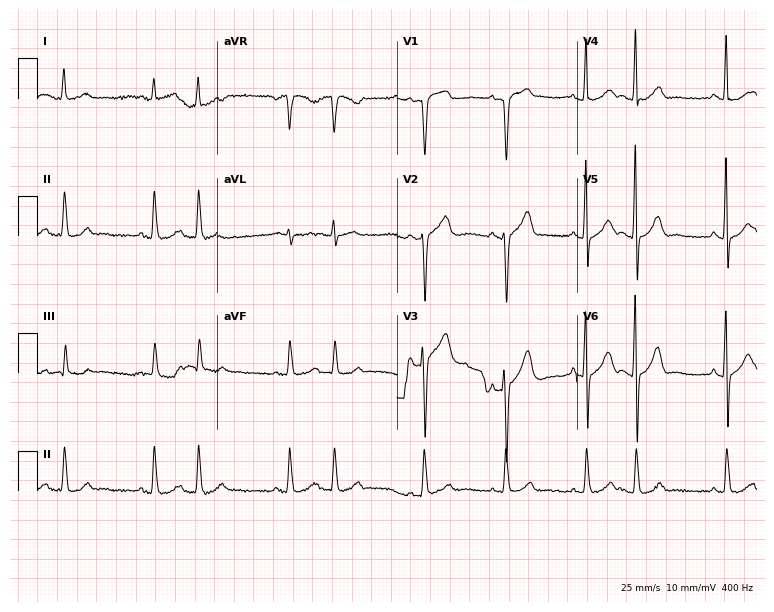
Resting 12-lead electrocardiogram (7.3-second recording at 400 Hz). Patient: a 70-year-old man. None of these six findings is recorded: first-degree AV block, right bundle branch block, left bundle branch block, sinus bradycardia, atrial fibrillation, sinus tachycardia. Only these six findings were labelled.